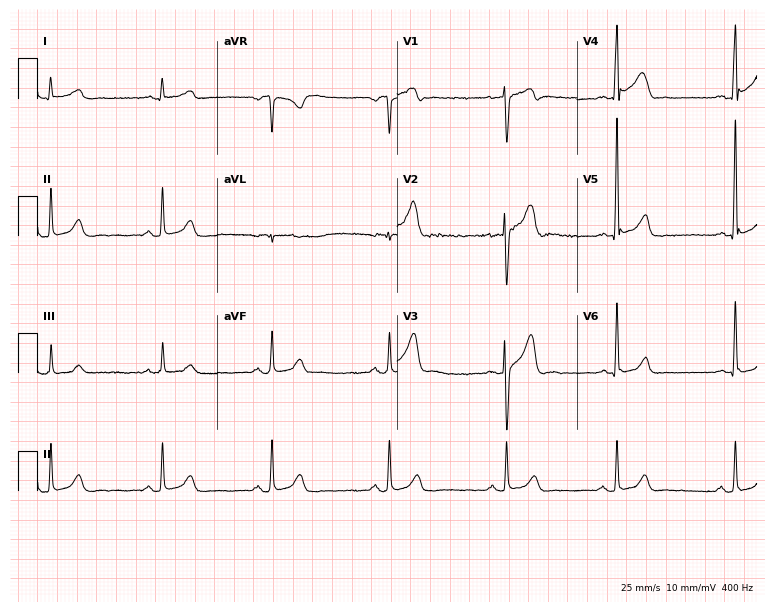
12-lead ECG from a man, 37 years old (7.3-second recording at 400 Hz). No first-degree AV block, right bundle branch block (RBBB), left bundle branch block (LBBB), sinus bradycardia, atrial fibrillation (AF) or sinus tachycardia recorded for this tracing.